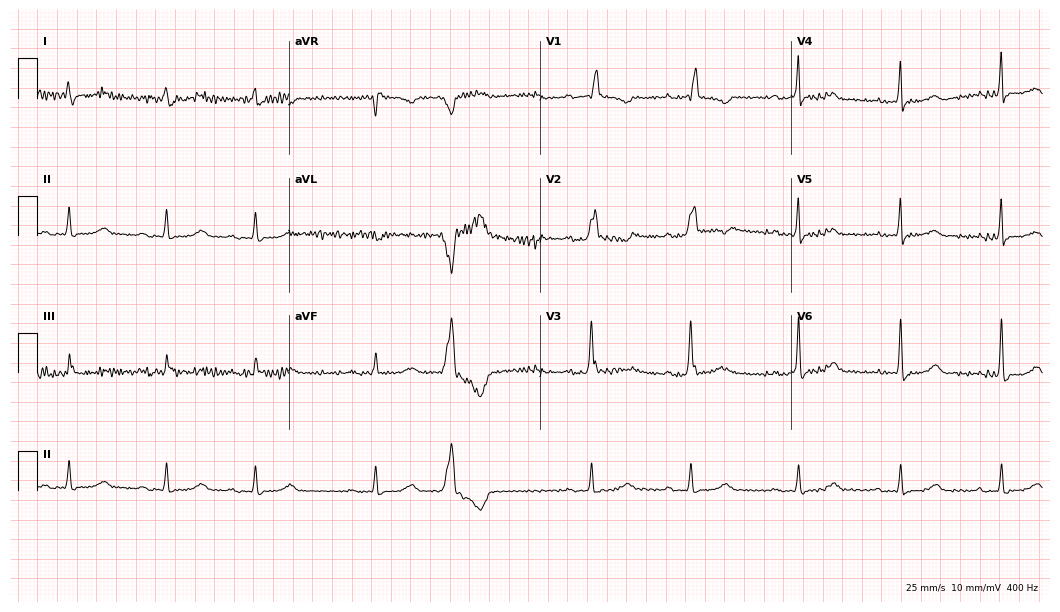
Resting 12-lead electrocardiogram. Patient: a man, 77 years old. None of these six findings is recorded: first-degree AV block, right bundle branch block, left bundle branch block, sinus bradycardia, atrial fibrillation, sinus tachycardia.